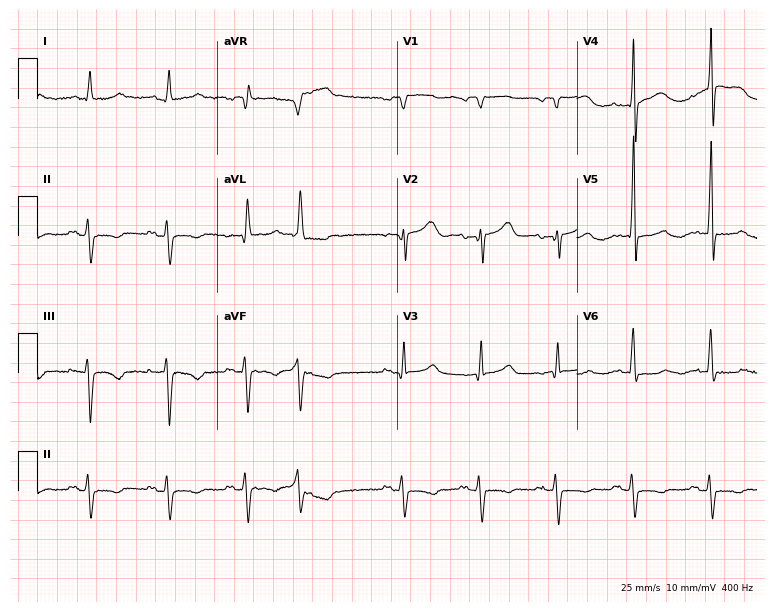
ECG — a 76-year-old male. Screened for six findings — first-degree AV block, right bundle branch block, left bundle branch block, sinus bradycardia, atrial fibrillation, sinus tachycardia — none is recorded.